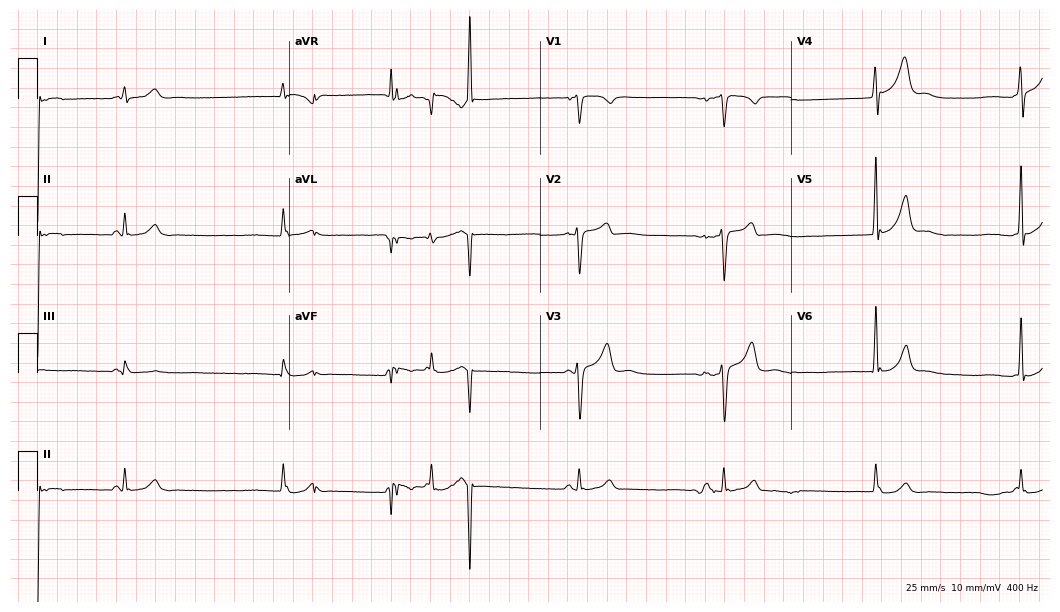
Standard 12-lead ECG recorded from a 27-year-old man. The tracing shows sinus bradycardia (a sinus rate of 50 beats per minute or less).